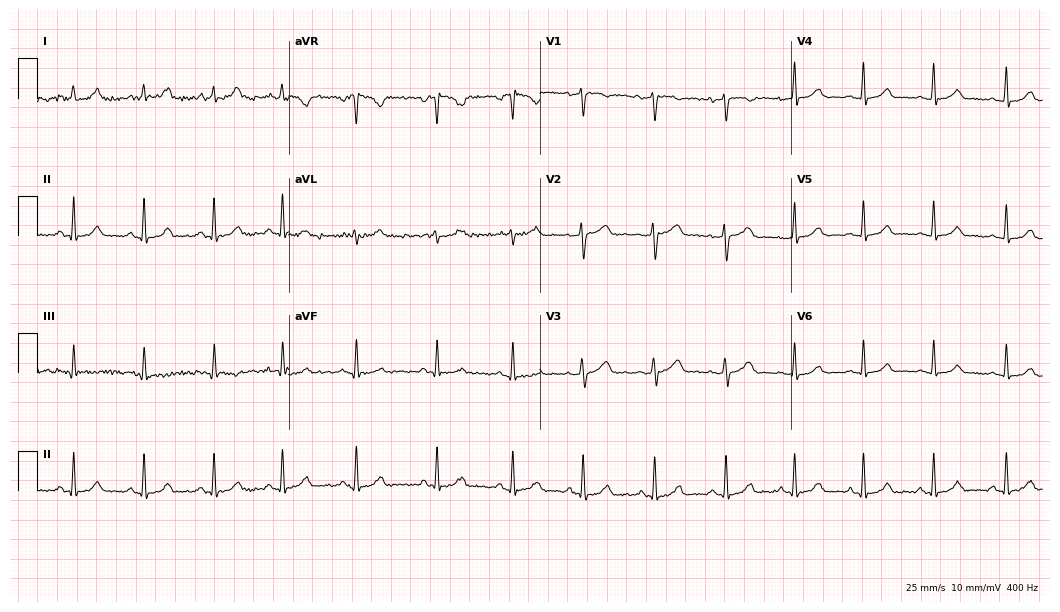
ECG — a woman, 25 years old. Screened for six findings — first-degree AV block, right bundle branch block, left bundle branch block, sinus bradycardia, atrial fibrillation, sinus tachycardia — none is recorded. Other findings, if any, are not listed.